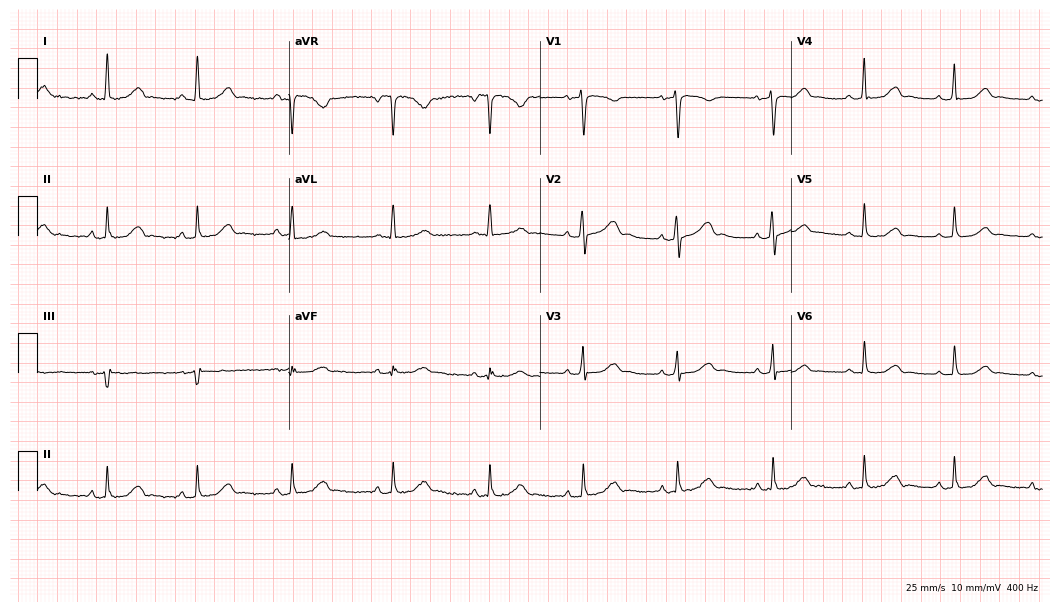
ECG (10.2-second recording at 400 Hz) — a female, 59 years old. Labelled as a normal ECG.